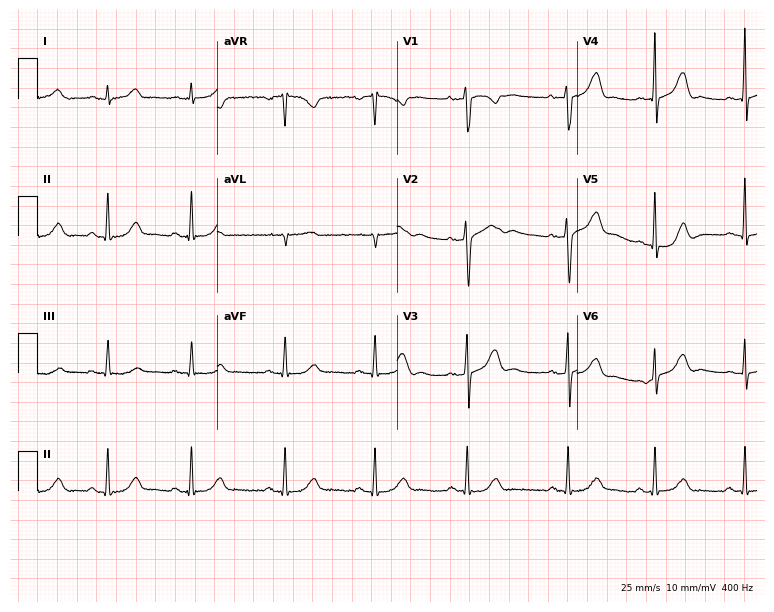
12-lead ECG from a woman, 39 years old (7.3-second recording at 400 Hz). No first-degree AV block, right bundle branch block, left bundle branch block, sinus bradycardia, atrial fibrillation or sinus tachycardia recorded for this tracing. Findings outside these six are not listed.